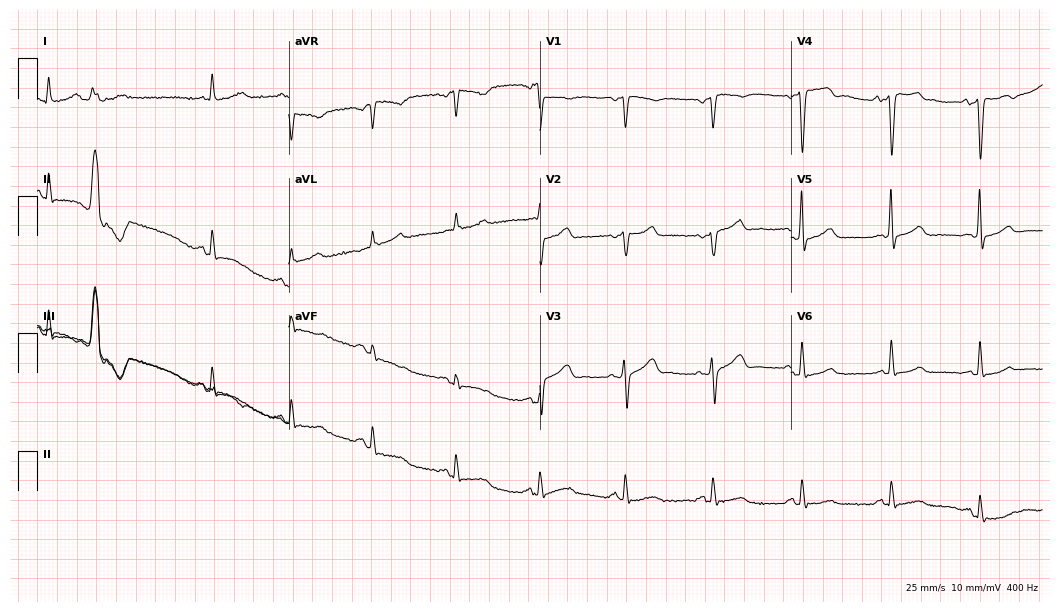
12-lead ECG from a female, 65 years old. No first-degree AV block, right bundle branch block, left bundle branch block, sinus bradycardia, atrial fibrillation or sinus tachycardia recorded for this tracing. Findings outside these six are not listed.